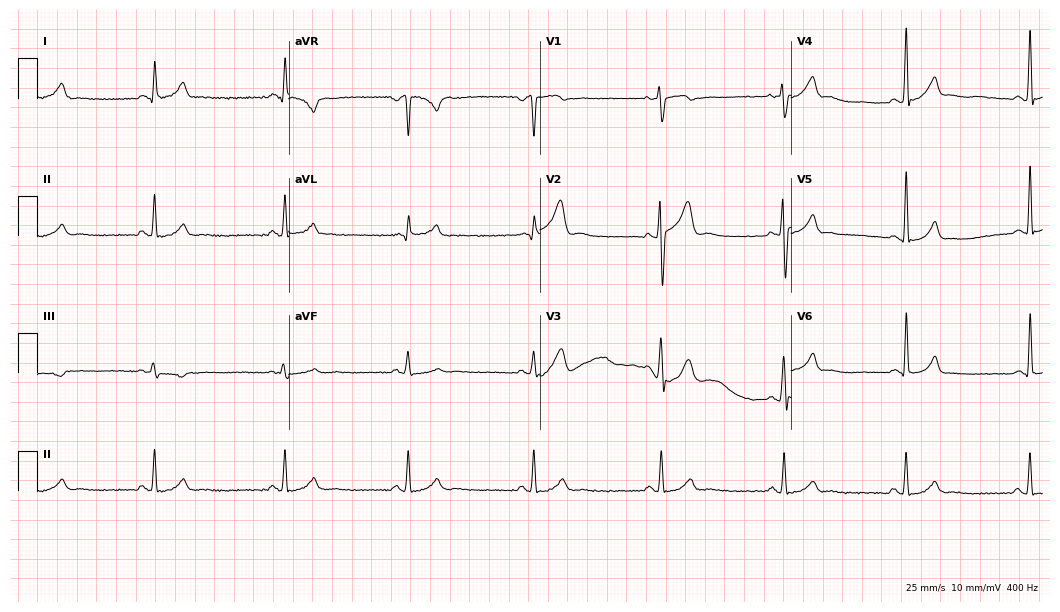
ECG — a 34-year-old male. Labelled as a normal ECG.